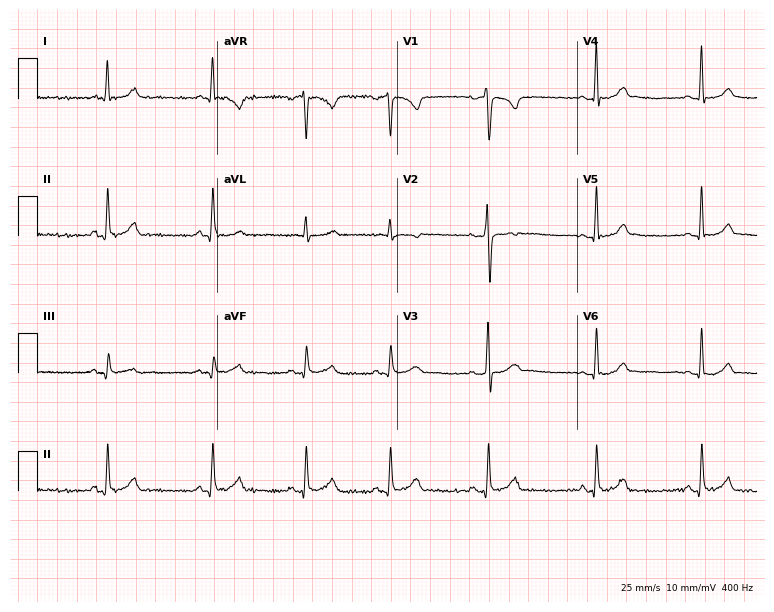
12-lead ECG (7.3-second recording at 400 Hz) from a female patient, 20 years old. Labelled as a normal ECG.